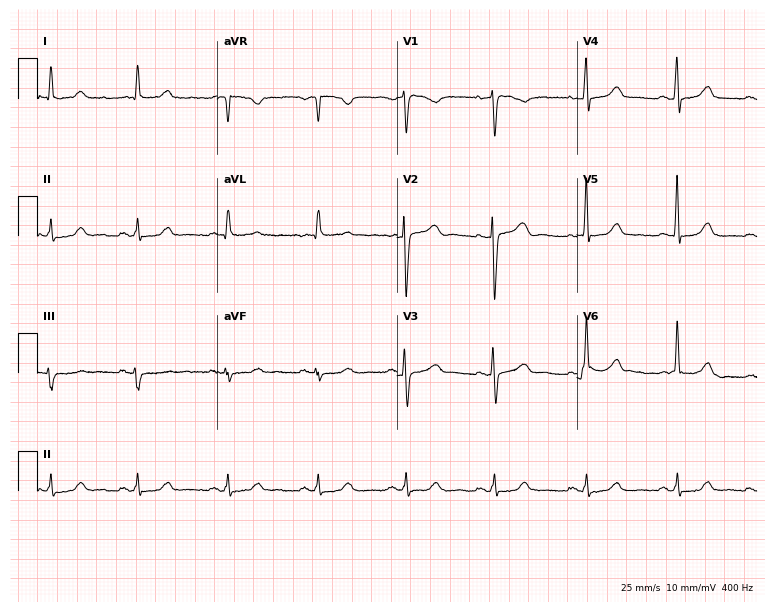
12-lead ECG (7.3-second recording at 400 Hz) from a female patient, 55 years old. Labelled as a normal ECG.